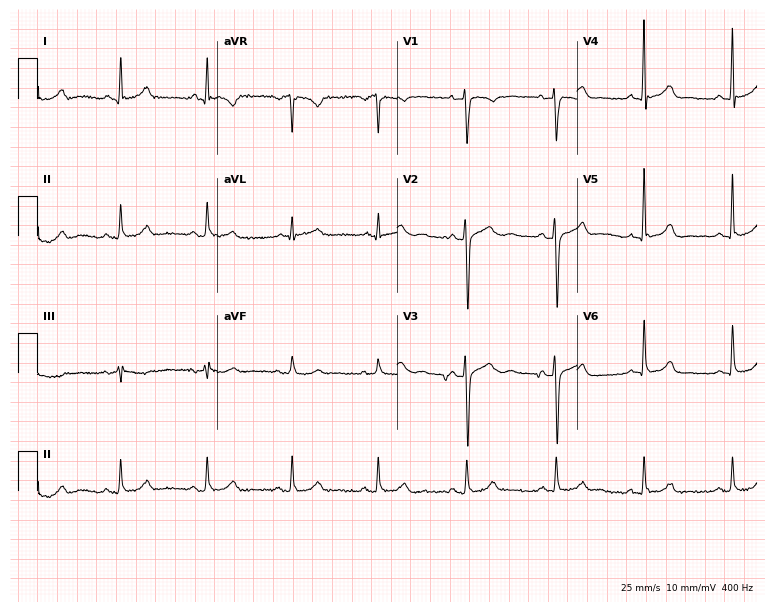
12-lead ECG from a male patient, 34 years old. No first-degree AV block, right bundle branch block (RBBB), left bundle branch block (LBBB), sinus bradycardia, atrial fibrillation (AF) or sinus tachycardia recorded for this tracing.